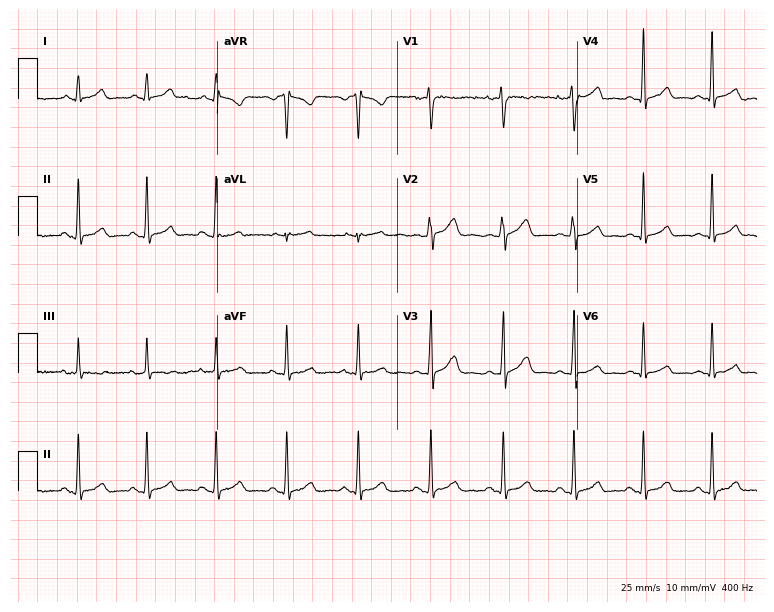
12-lead ECG from a female, 35 years old. Labelled as a normal ECG.